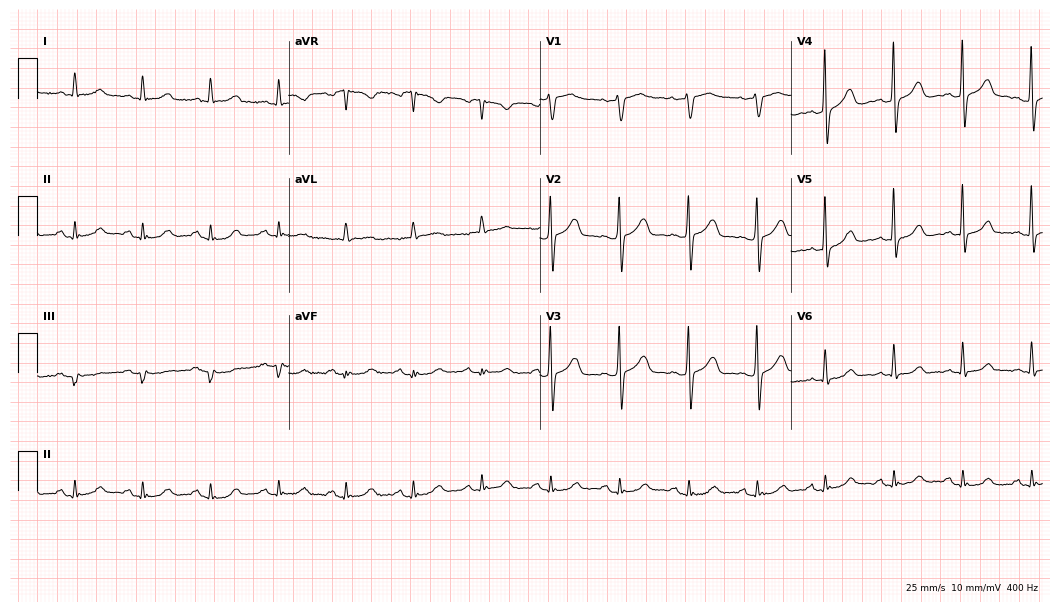
12-lead ECG from a 56-year-old woman. Screened for six findings — first-degree AV block, right bundle branch block, left bundle branch block, sinus bradycardia, atrial fibrillation, sinus tachycardia — none is recorded.